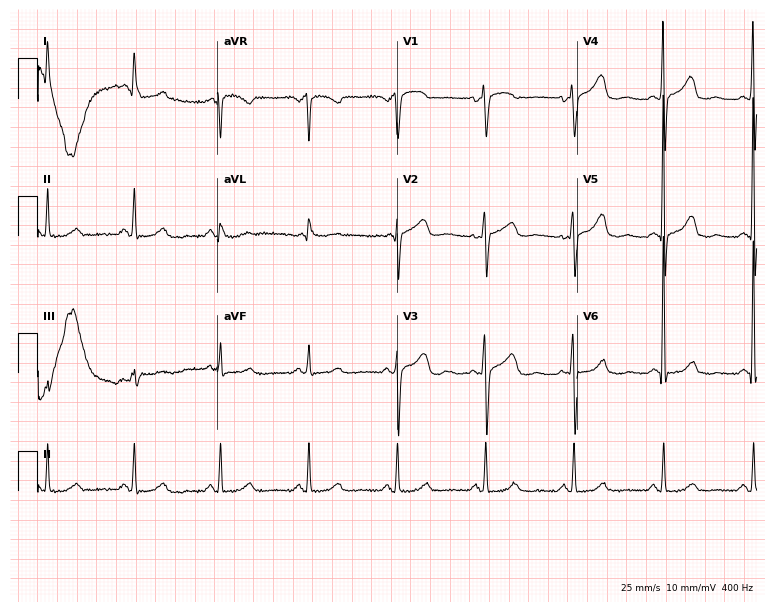
Electrocardiogram, a 63-year-old female patient. Of the six screened findings (first-degree AV block, right bundle branch block, left bundle branch block, sinus bradycardia, atrial fibrillation, sinus tachycardia), none is recorded.